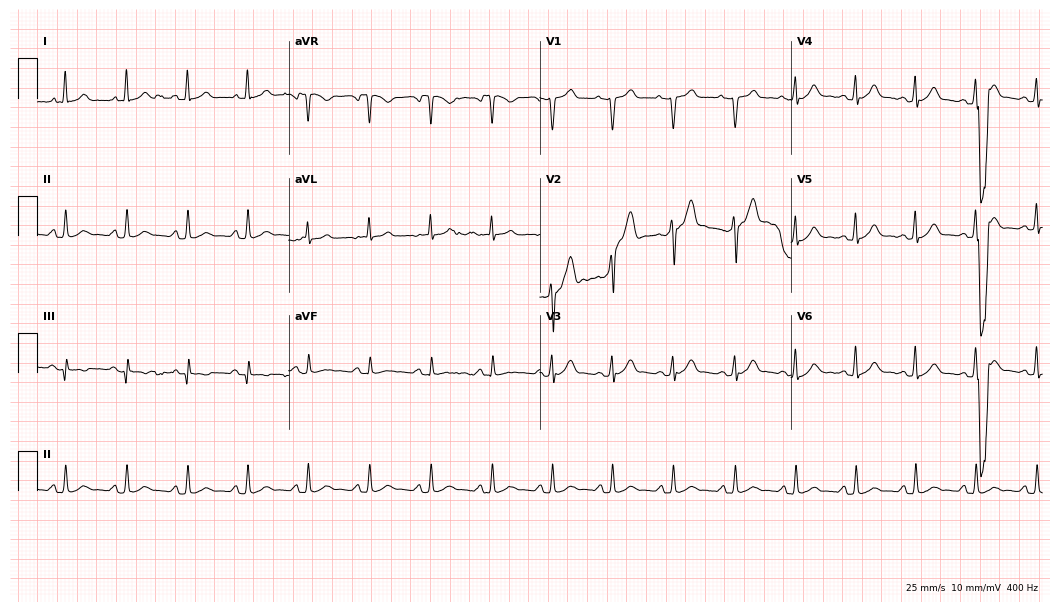
Standard 12-lead ECG recorded from a man, 25 years old. Read as a normal ECG.